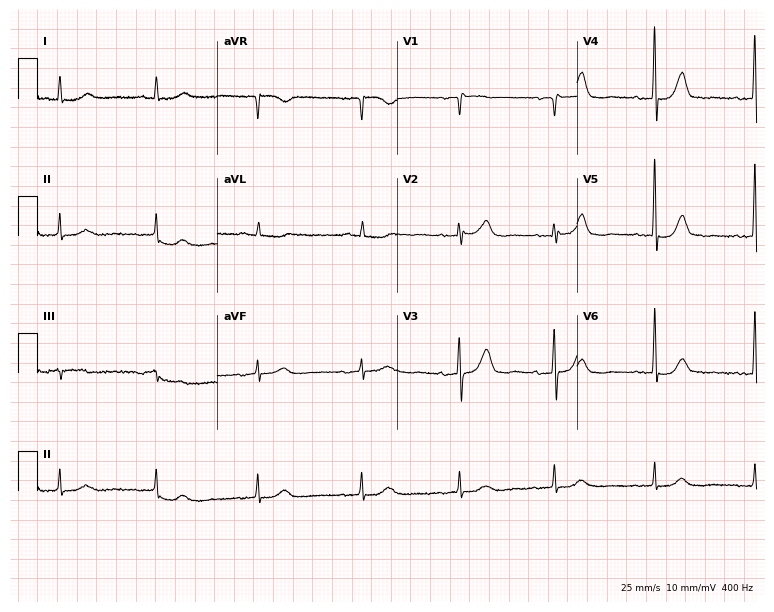
Resting 12-lead electrocardiogram. Patient: a man, 77 years old. Read as a normal ECG.